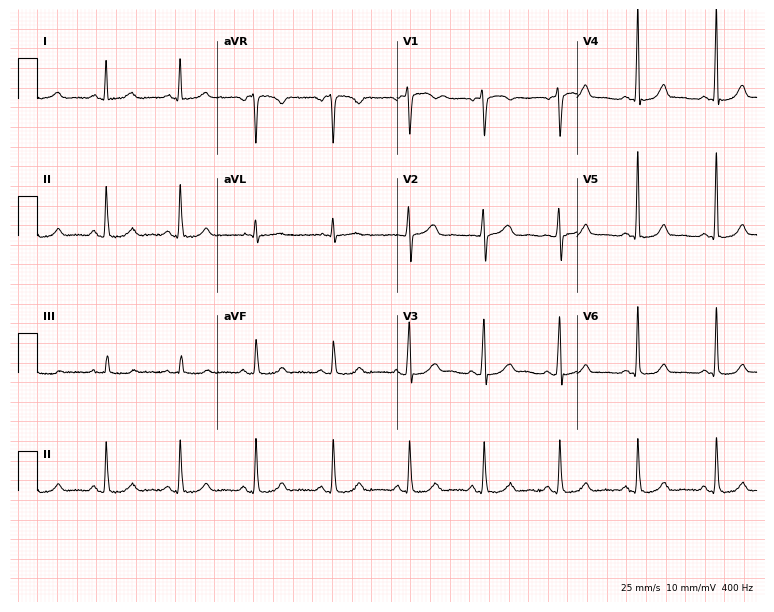
12-lead ECG from a 35-year-old female patient. Recorded interpretation: within normal limits.